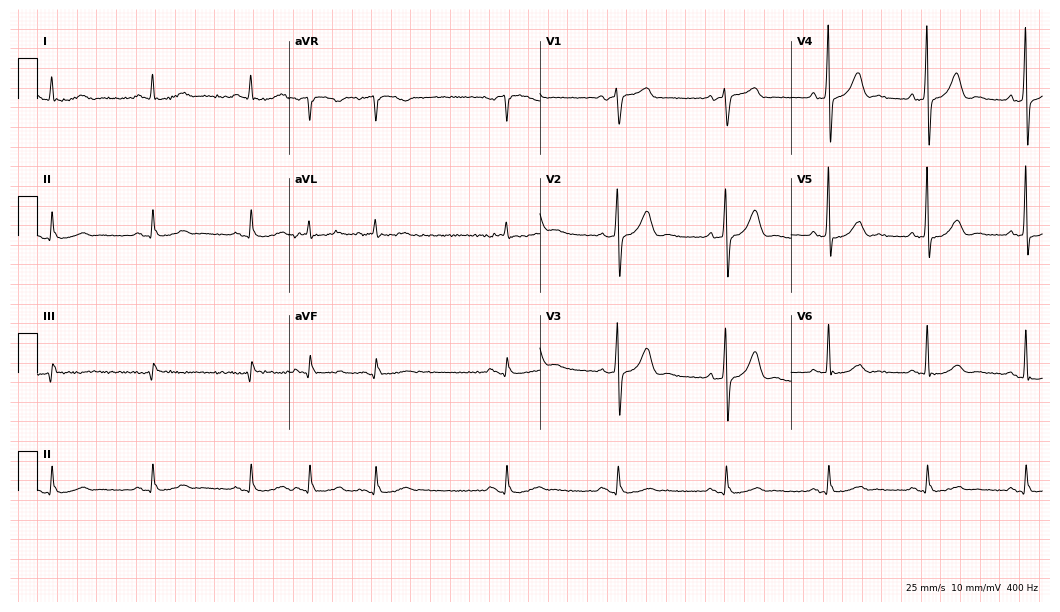
ECG (10.2-second recording at 400 Hz) — a 73-year-old male. Labelled as a normal ECG.